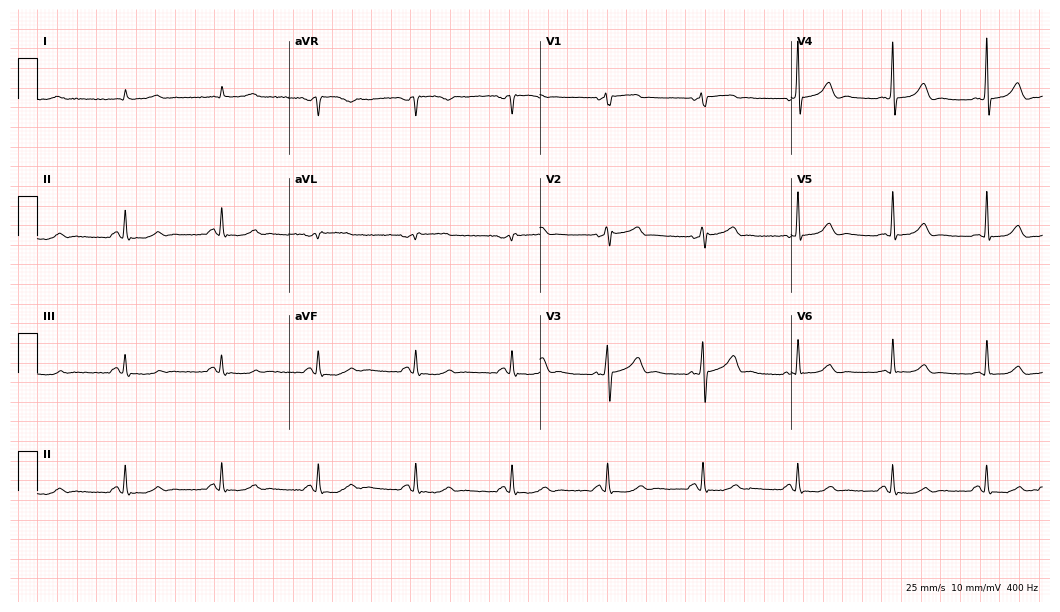
Resting 12-lead electrocardiogram (10.2-second recording at 400 Hz). Patient: a male, 73 years old. None of these six findings is recorded: first-degree AV block, right bundle branch block, left bundle branch block, sinus bradycardia, atrial fibrillation, sinus tachycardia. Findings outside these six are not listed.